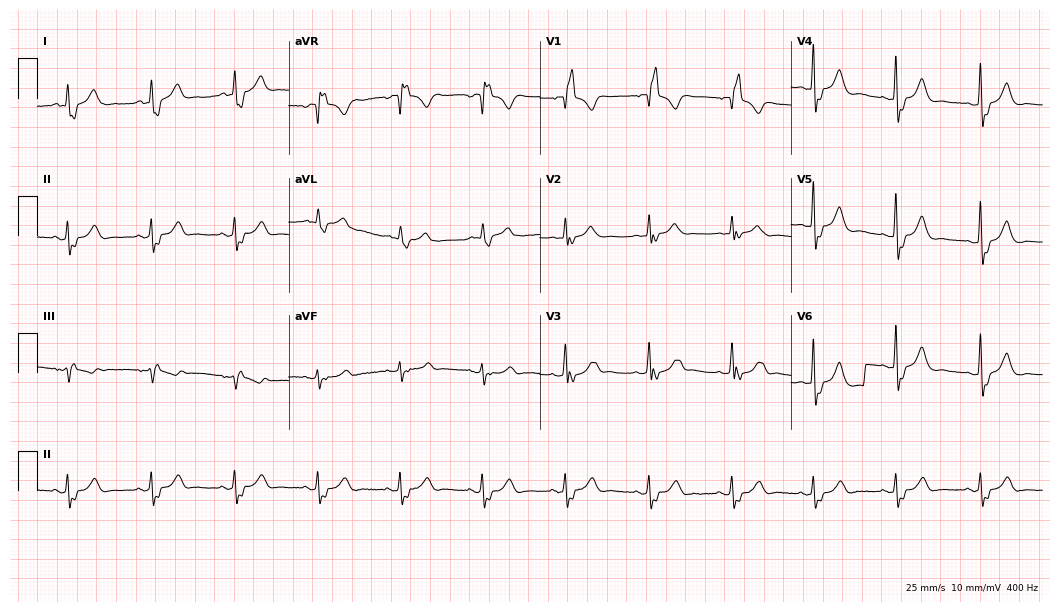
ECG — a man, 76 years old. Findings include right bundle branch block (RBBB).